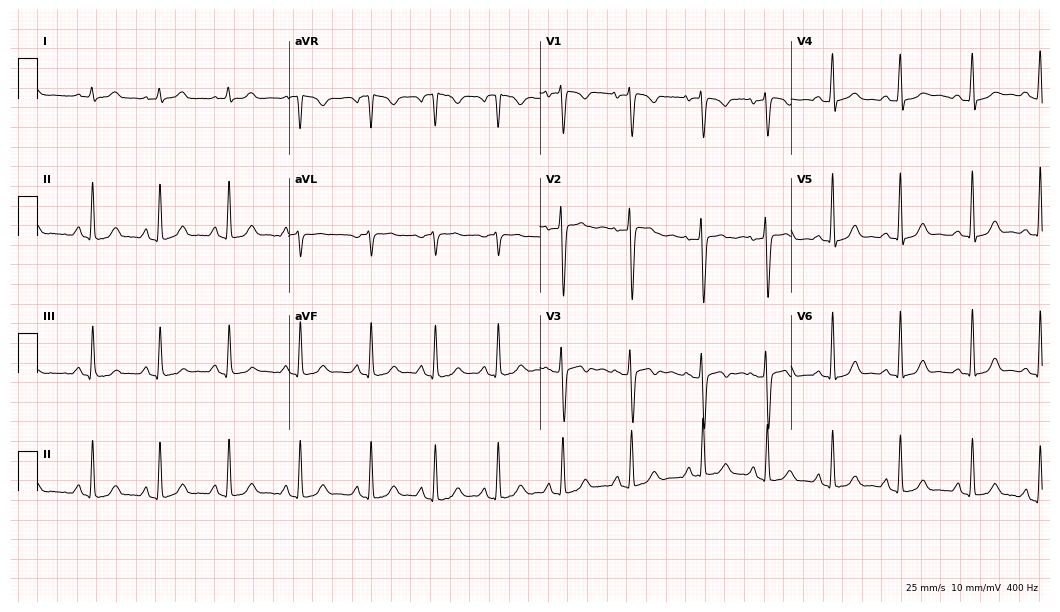
Electrocardiogram, a 20-year-old female patient. Overall reading on record: normal ECG.